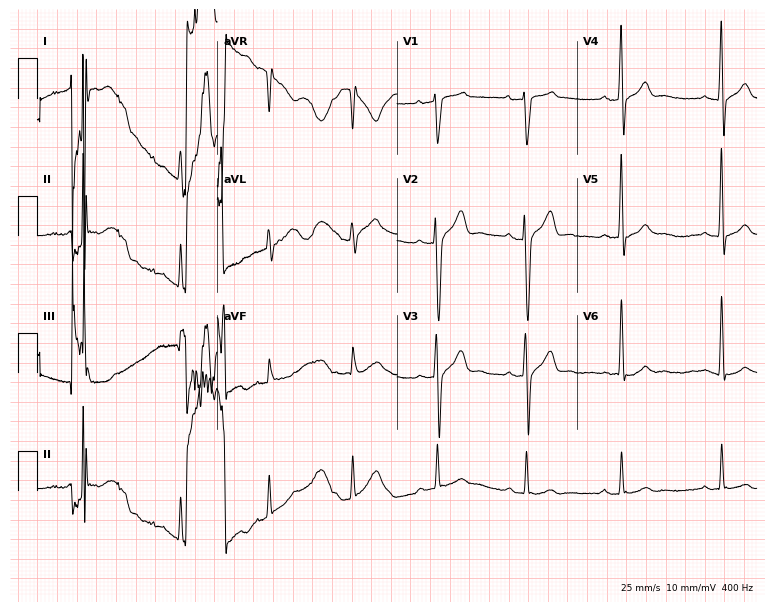
ECG (7.3-second recording at 400 Hz) — a 33-year-old male. Screened for six findings — first-degree AV block, right bundle branch block, left bundle branch block, sinus bradycardia, atrial fibrillation, sinus tachycardia — none is recorded.